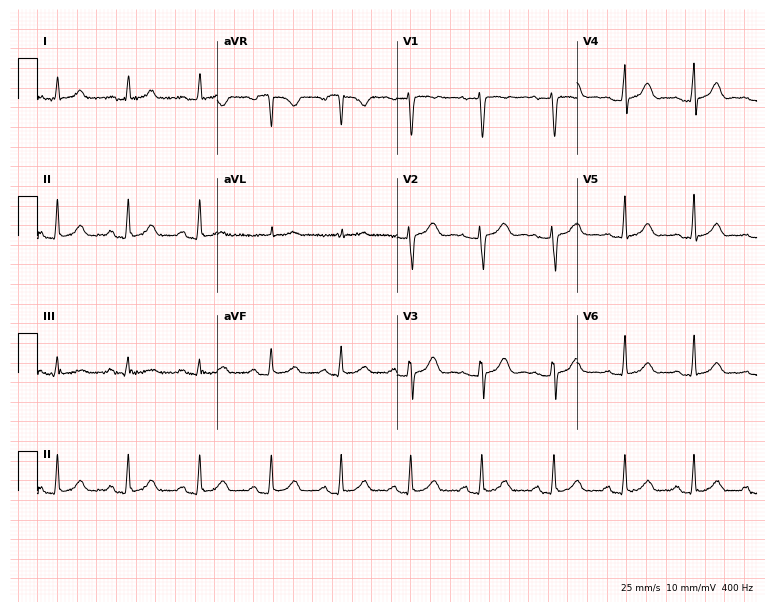
Resting 12-lead electrocardiogram (7.3-second recording at 400 Hz). Patient: a woman, 46 years old. None of these six findings is recorded: first-degree AV block, right bundle branch block (RBBB), left bundle branch block (LBBB), sinus bradycardia, atrial fibrillation (AF), sinus tachycardia.